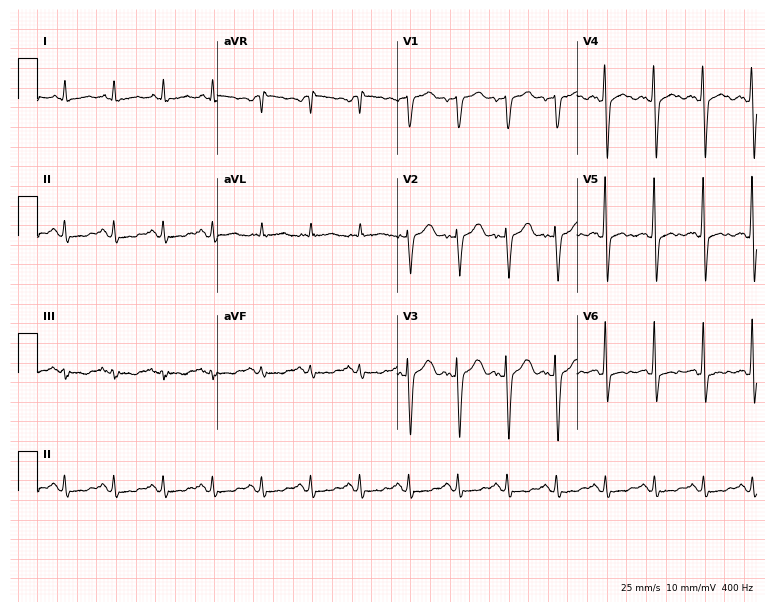
Electrocardiogram, a male, 72 years old. Interpretation includes sinus tachycardia (a sinus rate of 100 beats per minute or more).